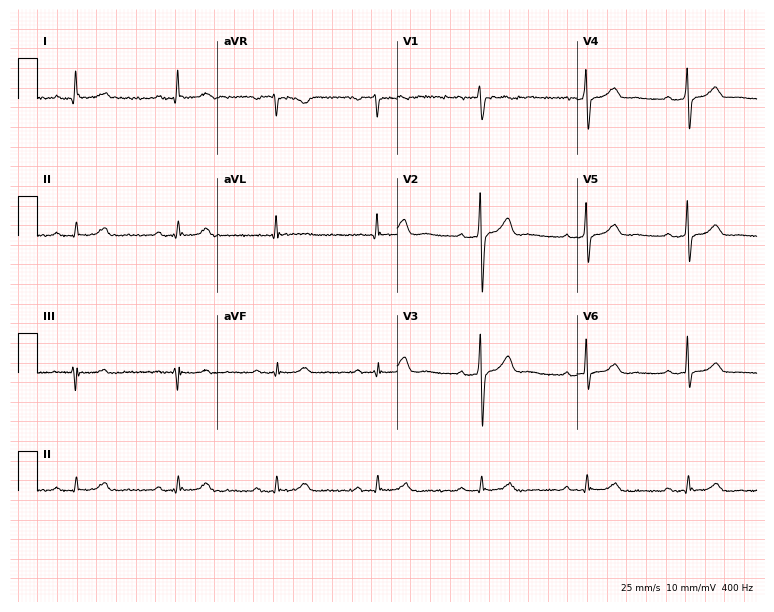
Standard 12-lead ECG recorded from a male, 51 years old. Read as a normal ECG.